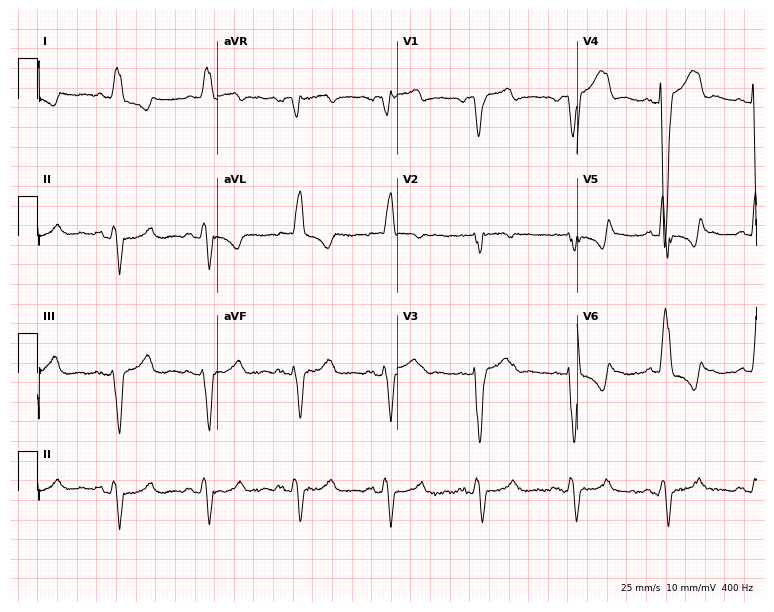
ECG (7.3-second recording at 400 Hz) — a 76-year-old female patient. Findings include left bundle branch block.